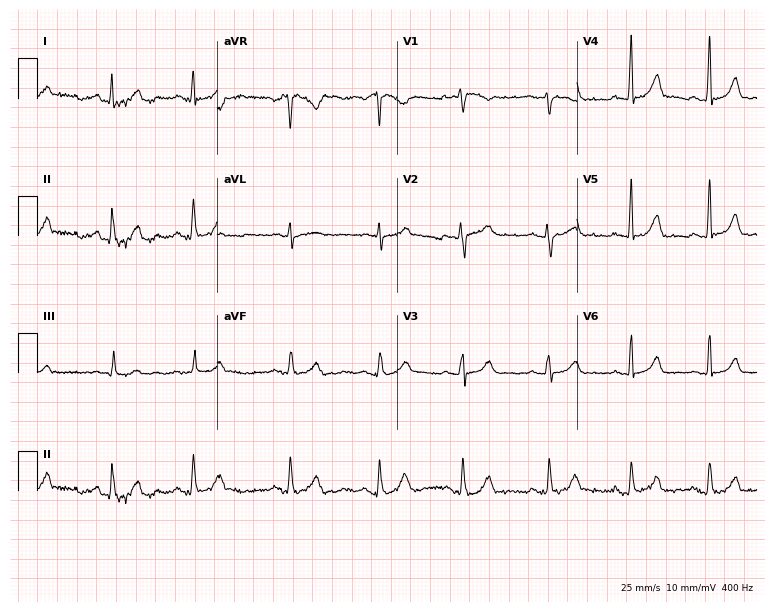
12-lead ECG from a 35-year-old female patient. Recorded interpretation: within normal limits.